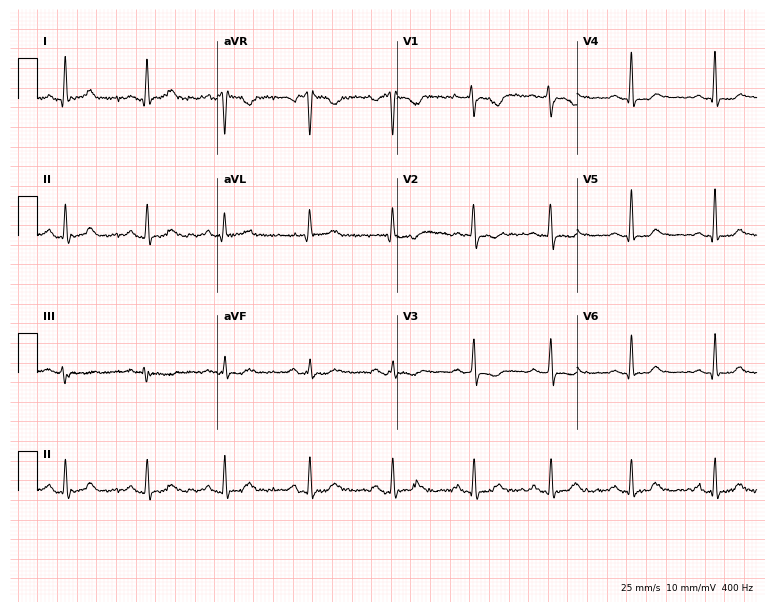
12-lead ECG (7.3-second recording at 400 Hz) from a 34-year-old woman. Screened for six findings — first-degree AV block, right bundle branch block, left bundle branch block, sinus bradycardia, atrial fibrillation, sinus tachycardia — none is recorded. Only these six findings were labelled.